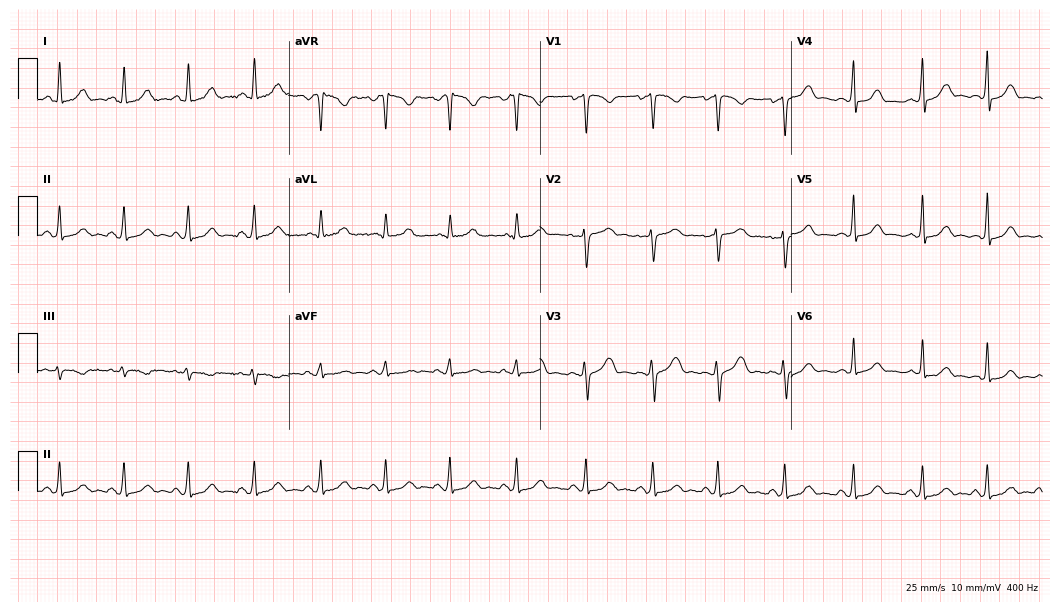
Resting 12-lead electrocardiogram. Patient: a female, 33 years old. Read as a normal ECG.